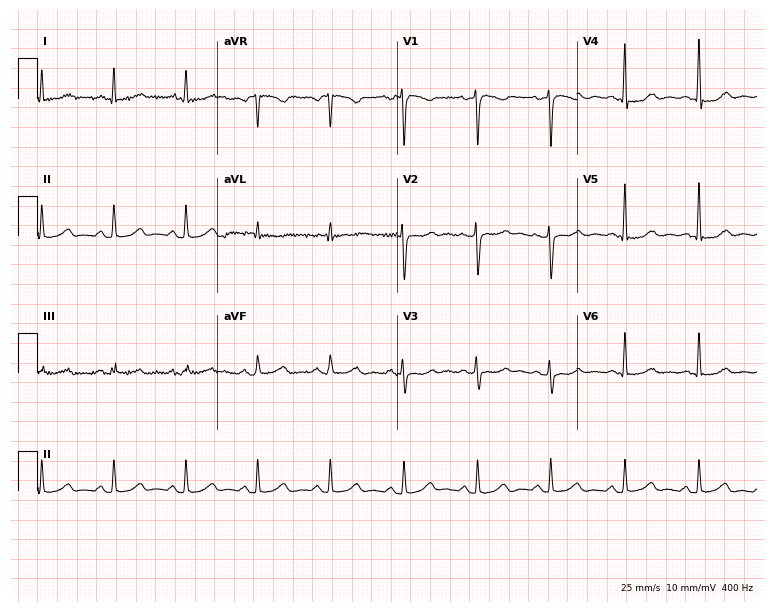
12-lead ECG (7.3-second recording at 400 Hz) from a 48-year-old female patient. Screened for six findings — first-degree AV block, right bundle branch block, left bundle branch block, sinus bradycardia, atrial fibrillation, sinus tachycardia — none is recorded.